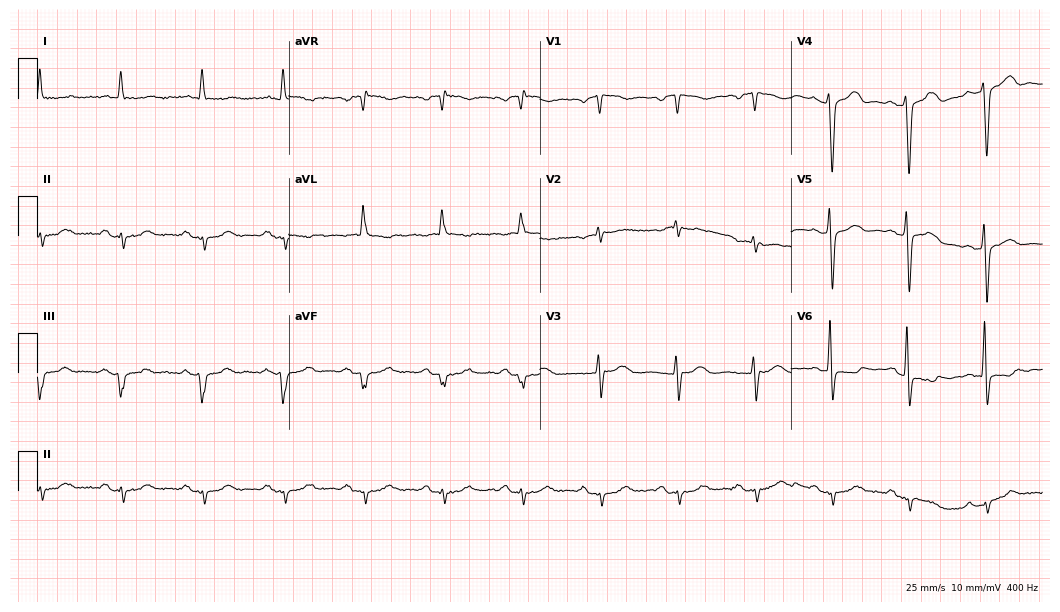
Standard 12-lead ECG recorded from a male, 84 years old (10.2-second recording at 400 Hz). None of these six findings is recorded: first-degree AV block, right bundle branch block, left bundle branch block, sinus bradycardia, atrial fibrillation, sinus tachycardia. Only these six findings were labelled.